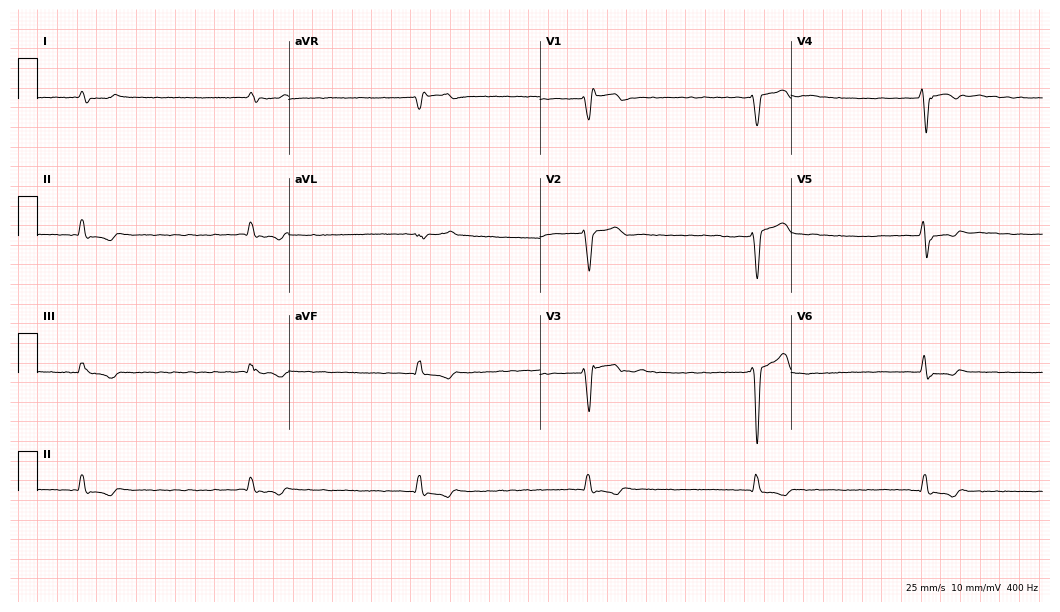
Electrocardiogram (10.2-second recording at 400 Hz), a male patient, 73 years old. Interpretation includes right bundle branch block, left bundle branch block, atrial fibrillation.